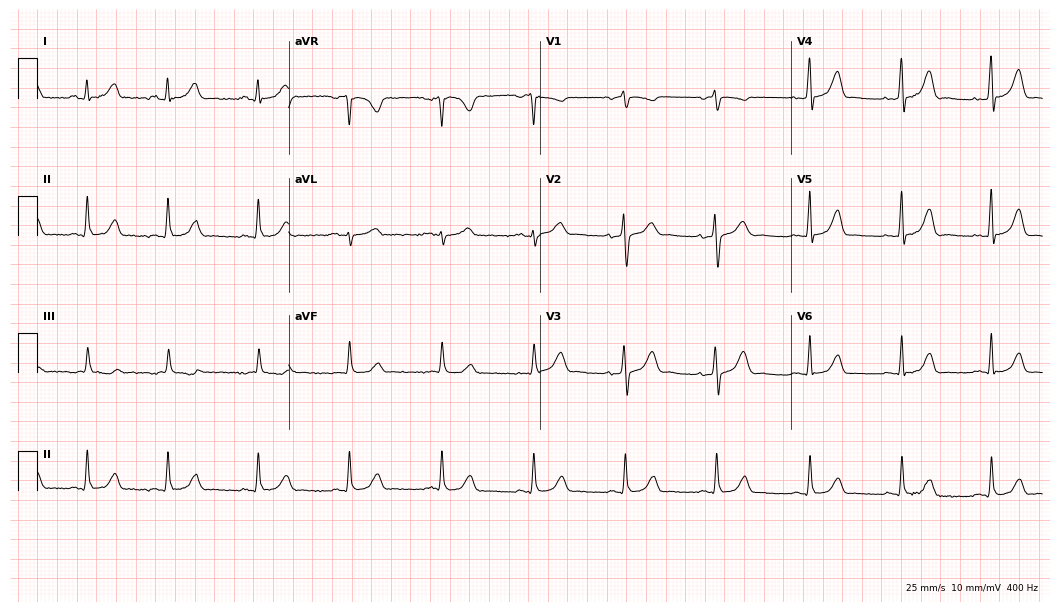
12-lead ECG from a female patient, 37 years old. Labelled as a normal ECG.